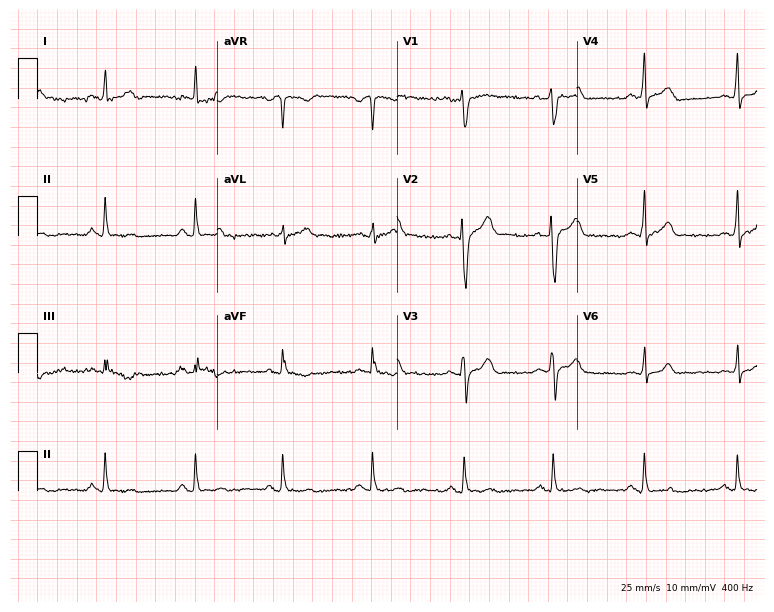
12-lead ECG from a 50-year-old male patient. Recorded interpretation: within normal limits.